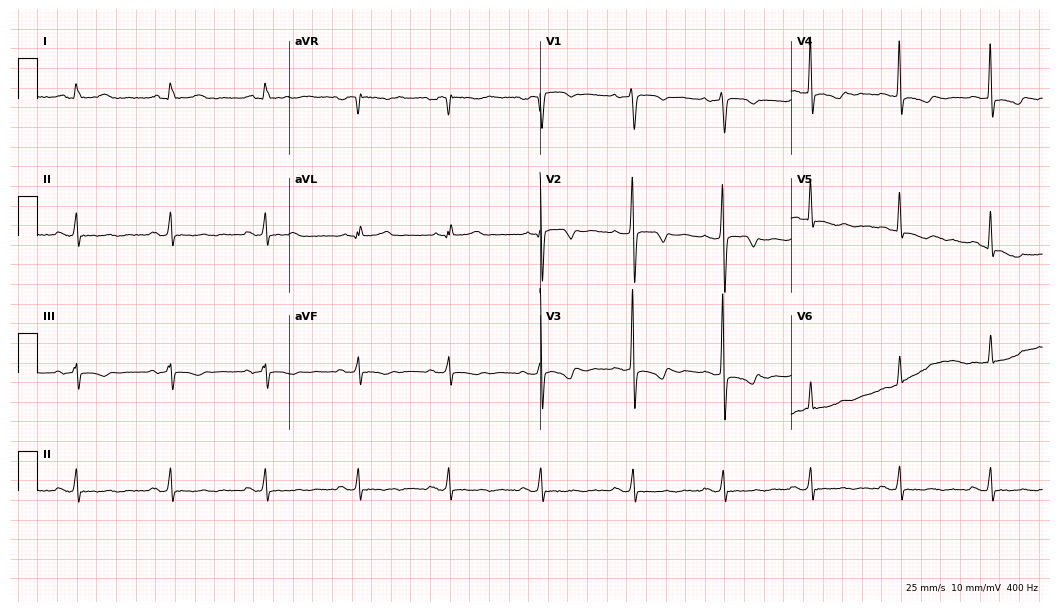
12-lead ECG from a man, 34 years old (10.2-second recording at 400 Hz). No first-degree AV block, right bundle branch block (RBBB), left bundle branch block (LBBB), sinus bradycardia, atrial fibrillation (AF) or sinus tachycardia recorded for this tracing. Other findings, if any, are not listed.